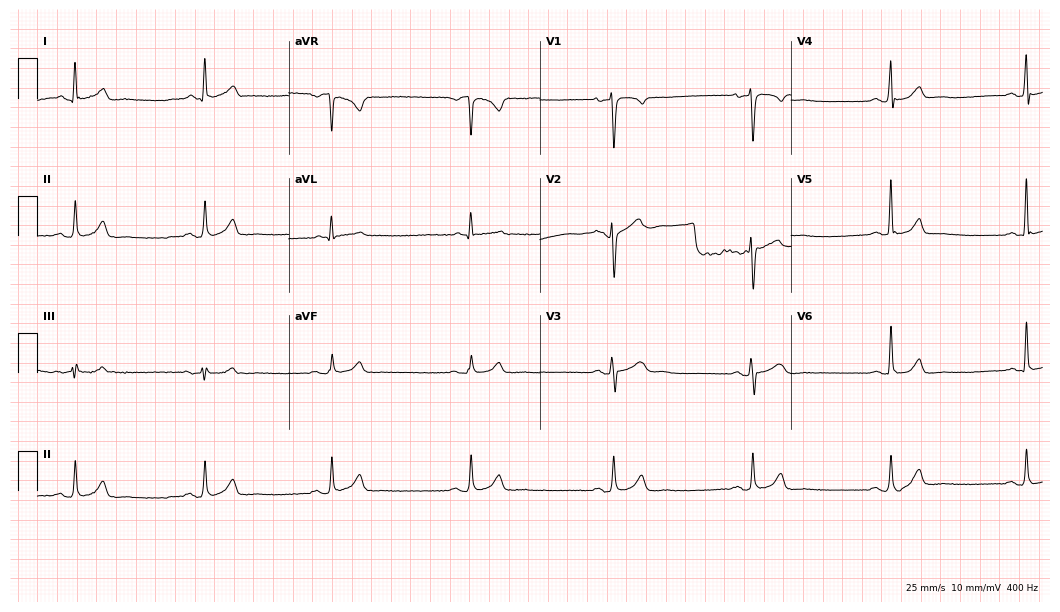
Resting 12-lead electrocardiogram (10.2-second recording at 400 Hz). Patient: a 56-year-old male. The tracing shows sinus bradycardia (a sinus rate of 50 beats per minute or less).